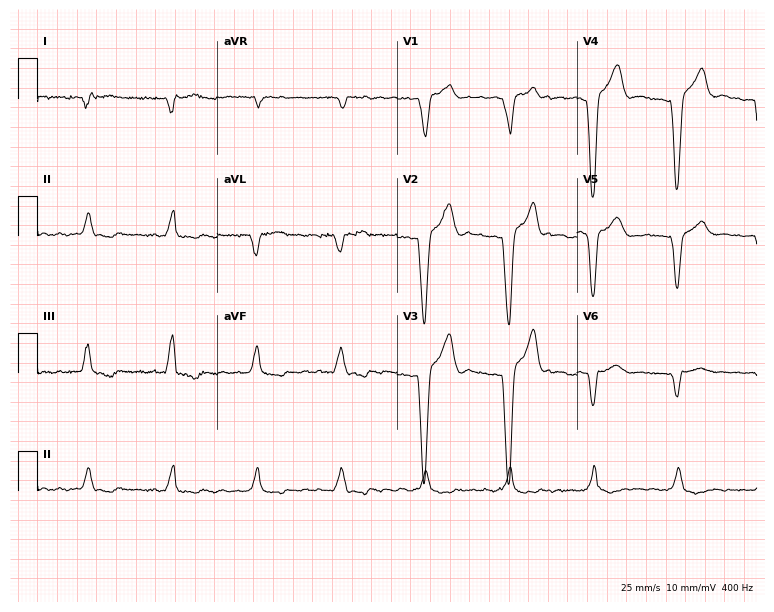
ECG (7.3-second recording at 400 Hz) — a 77-year-old man. Screened for six findings — first-degree AV block, right bundle branch block, left bundle branch block, sinus bradycardia, atrial fibrillation, sinus tachycardia — none is recorded.